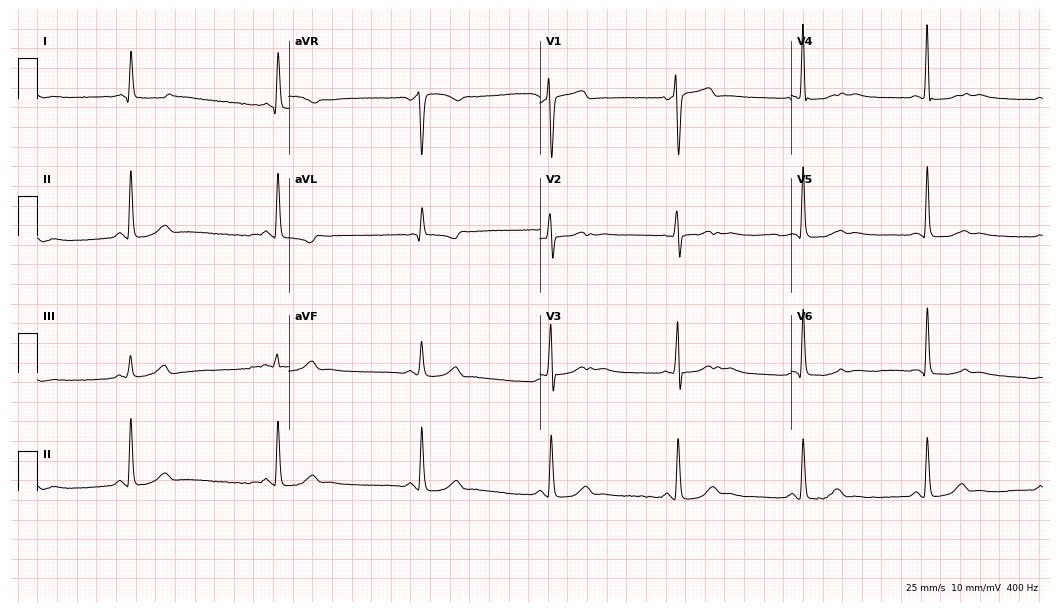
ECG — a female patient, 64 years old. Findings include sinus bradycardia (a sinus rate of 50 beats per minute or less).